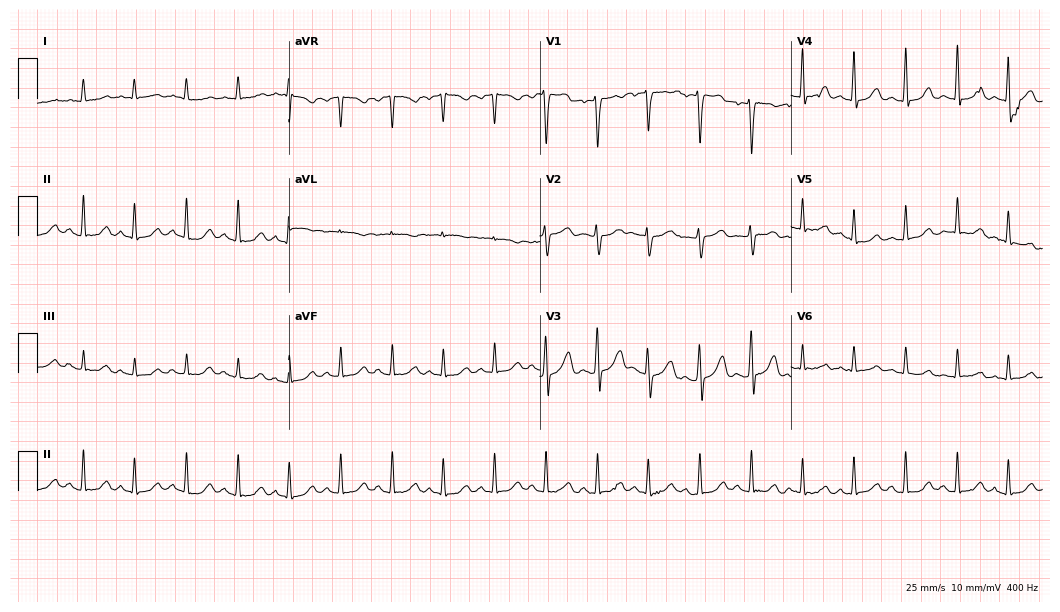
Electrocardiogram (10.2-second recording at 400 Hz), a woman, 40 years old. Of the six screened findings (first-degree AV block, right bundle branch block (RBBB), left bundle branch block (LBBB), sinus bradycardia, atrial fibrillation (AF), sinus tachycardia), none is recorded.